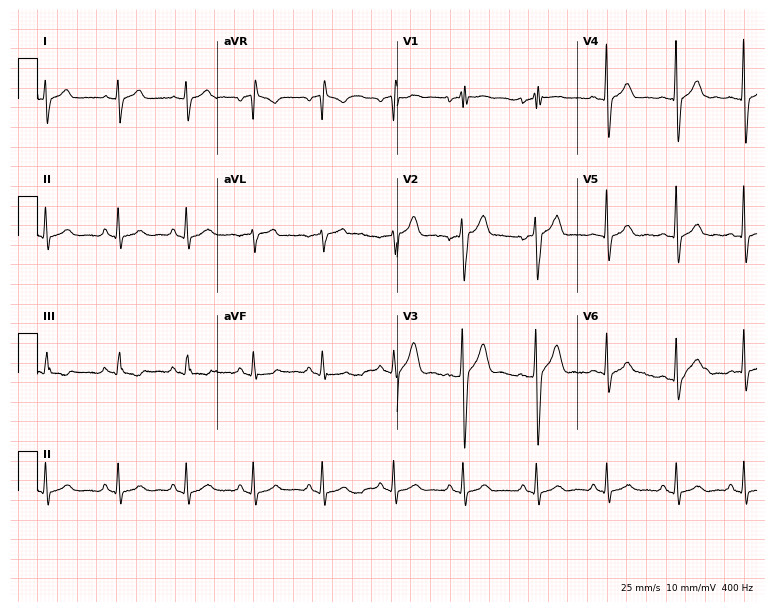
Electrocardiogram (7.3-second recording at 400 Hz), a man, 24 years old. Of the six screened findings (first-degree AV block, right bundle branch block, left bundle branch block, sinus bradycardia, atrial fibrillation, sinus tachycardia), none is recorded. Other findings, if any, are not listed.